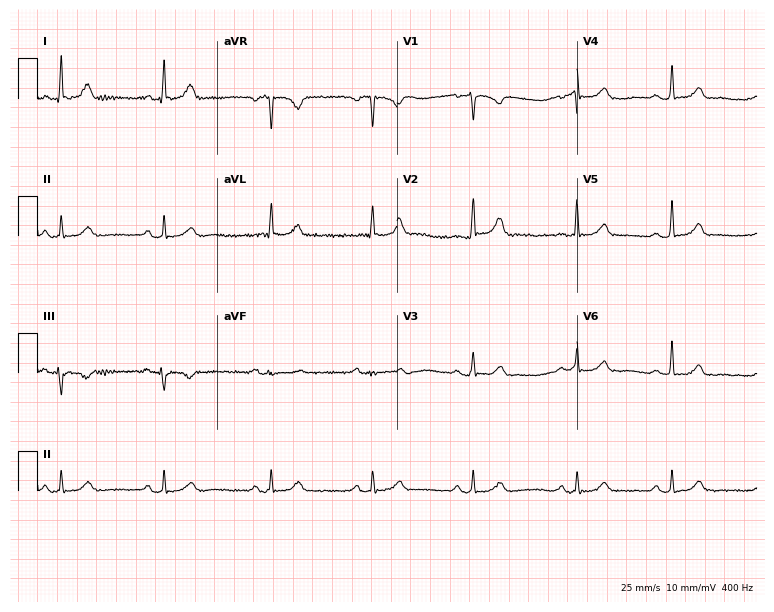
12-lead ECG from a 57-year-old female patient. Screened for six findings — first-degree AV block, right bundle branch block, left bundle branch block, sinus bradycardia, atrial fibrillation, sinus tachycardia — none is recorded. Other findings, if any, are not listed.